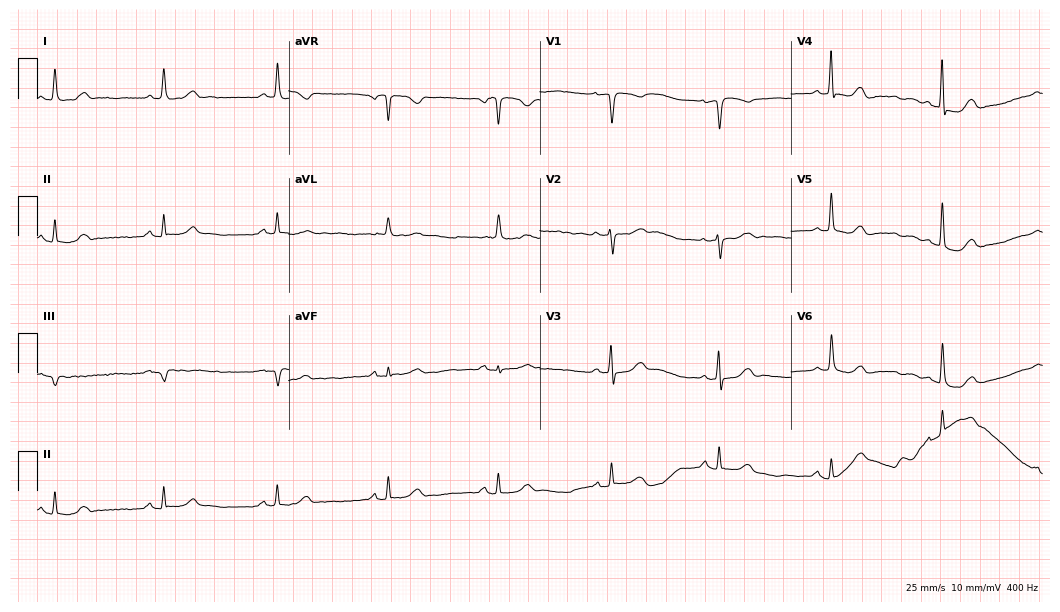
Standard 12-lead ECG recorded from a 68-year-old female. Read as a normal ECG.